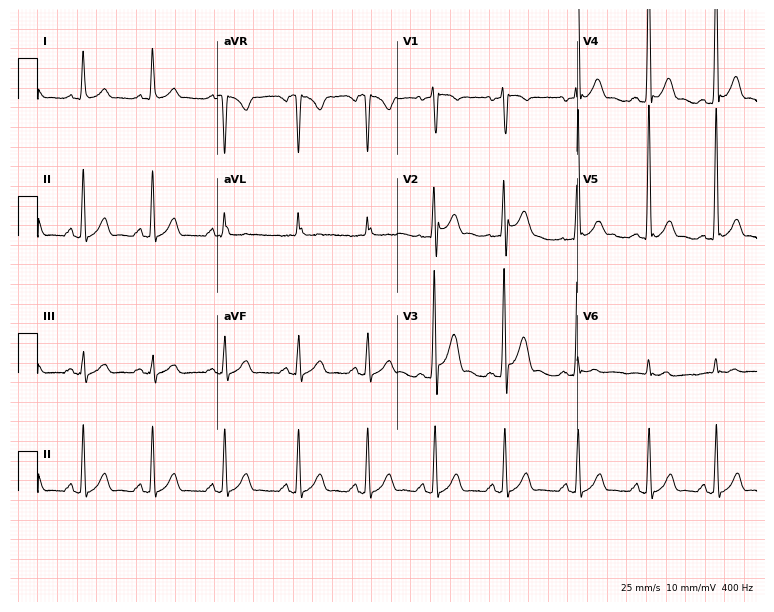
ECG (7.3-second recording at 400 Hz) — a male patient, 25 years old. Screened for six findings — first-degree AV block, right bundle branch block, left bundle branch block, sinus bradycardia, atrial fibrillation, sinus tachycardia — none is recorded.